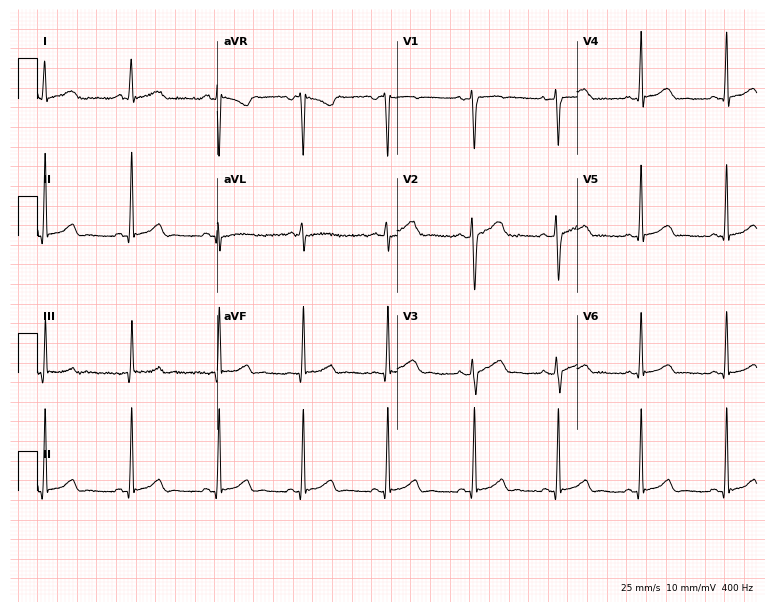
Standard 12-lead ECG recorded from a 28-year-old female (7.3-second recording at 400 Hz). None of these six findings is recorded: first-degree AV block, right bundle branch block, left bundle branch block, sinus bradycardia, atrial fibrillation, sinus tachycardia.